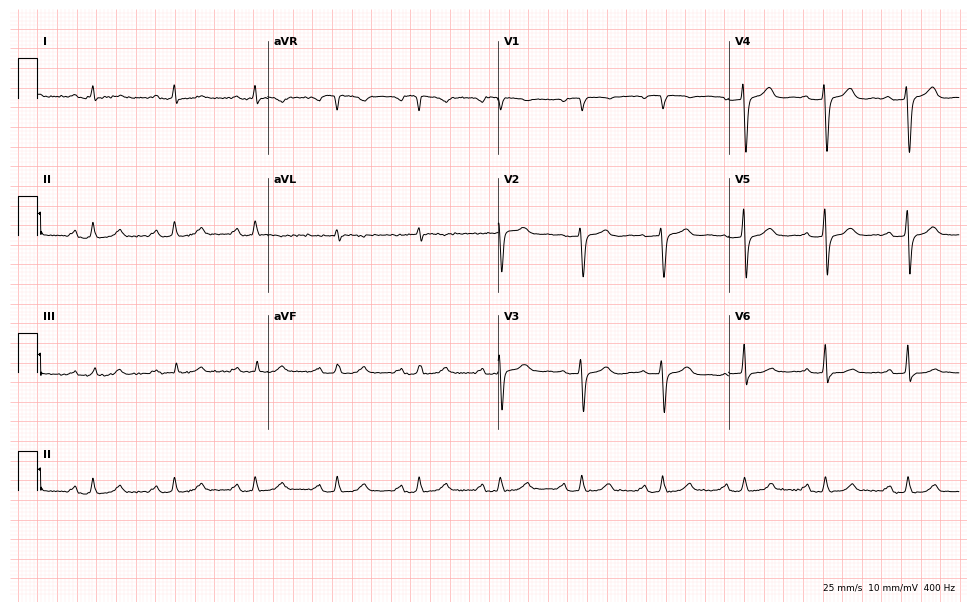
12-lead ECG from a woman, 60 years old (9.4-second recording at 400 Hz). Recorded interpretation: within normal limits.